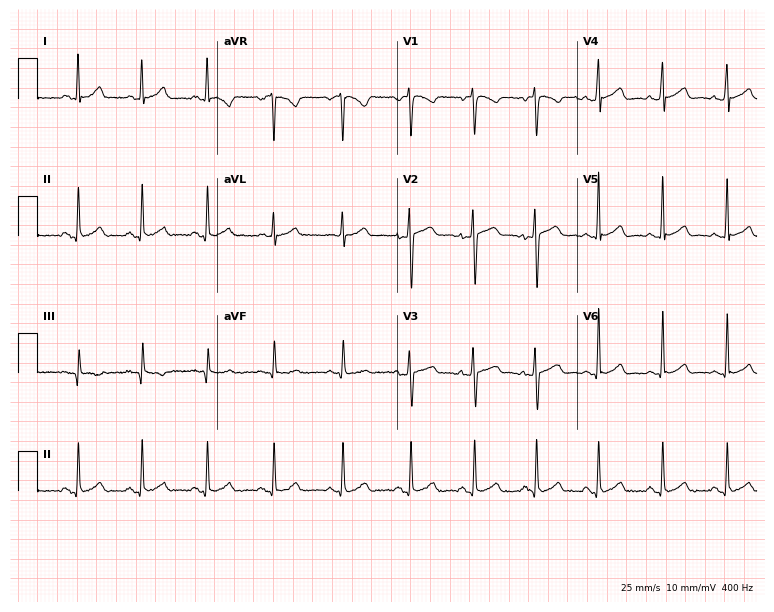
Resting 12-lead electrocardiogram (7.3-second recording at 400 Hz). Patient: a female, 40 years old. Read as a normal ECG.